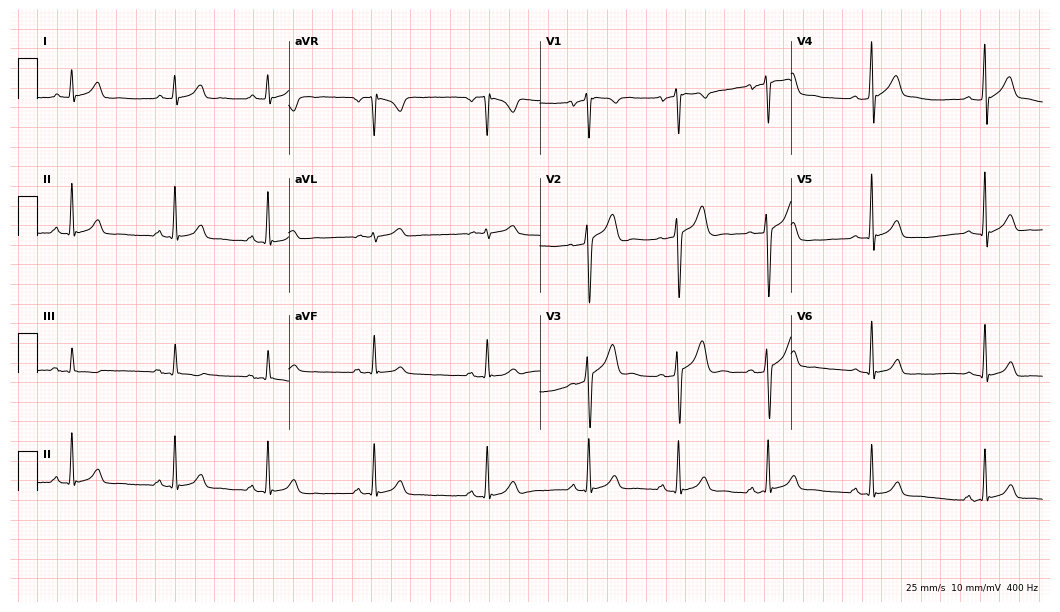
12-lead ECG (10.2-second recording at 400 Hz) from a 32-year-old male. Screened for six findings — first-degree AV block, right bundle branch block, left bundle branch block, sinus bradycardia, atrial fibrillation, sinus tachycardia — none is recorded. Only these six findings were labelled.